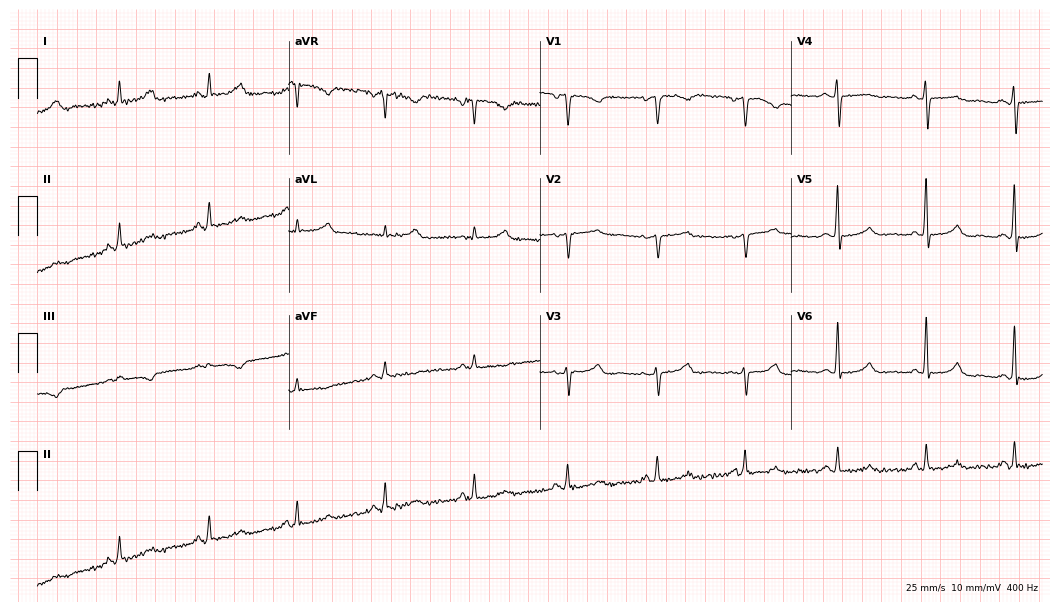
Electrocardiogram, a female, 57 years old. Overall reading on record: normal ECG.